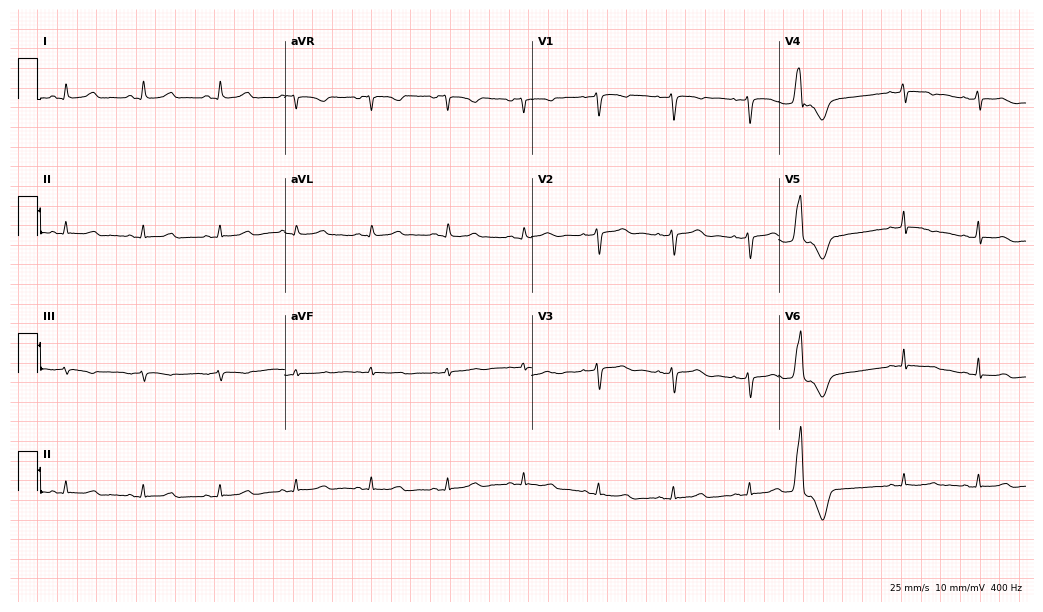
12-lead ECG from a man, 17 years old. Screened for six findings — first-degree AV block, right bundle branch block, left bundle branch block, sinus bradycardia, atrial fibrillation, sinus tachycardia — none is recorded. Findings outside these six are not listed.